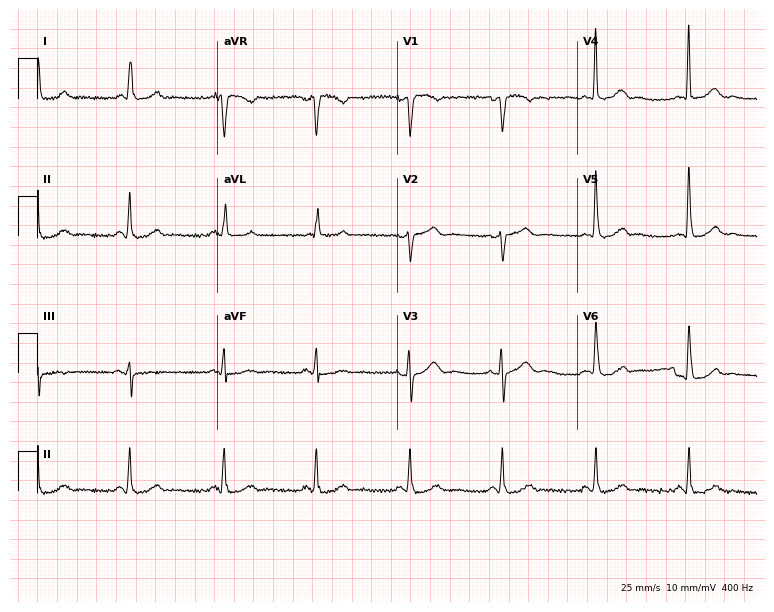
Resting 12-lead electrocardiogram (7.3-second recording at 400 Hz). Patient: a woman, 67 years old. None of these six findings is recorded: first-degree AV block, right bundle branch block, left bundle branch block, sinus bradycardia, atrial fibrillation, sinus tachycardia.